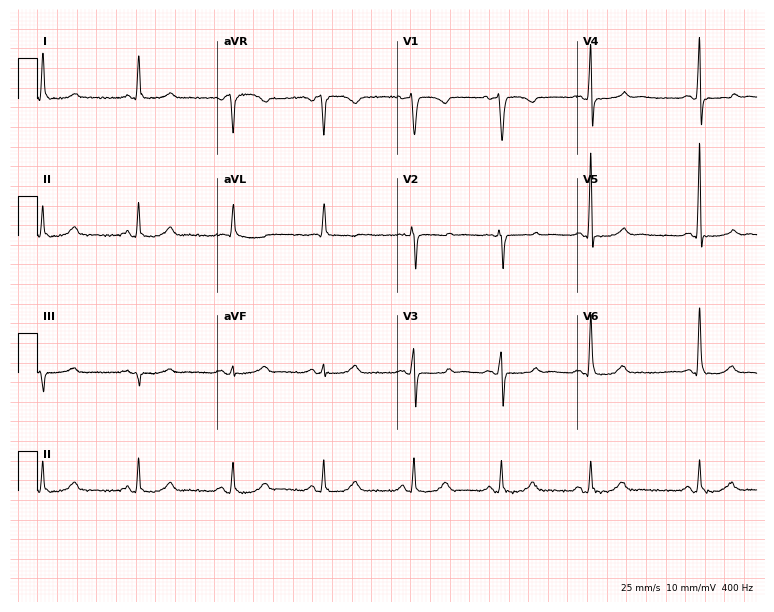
Electrocardiogram, a 75-year-old female patient. Overall reading on record: normal ECG.